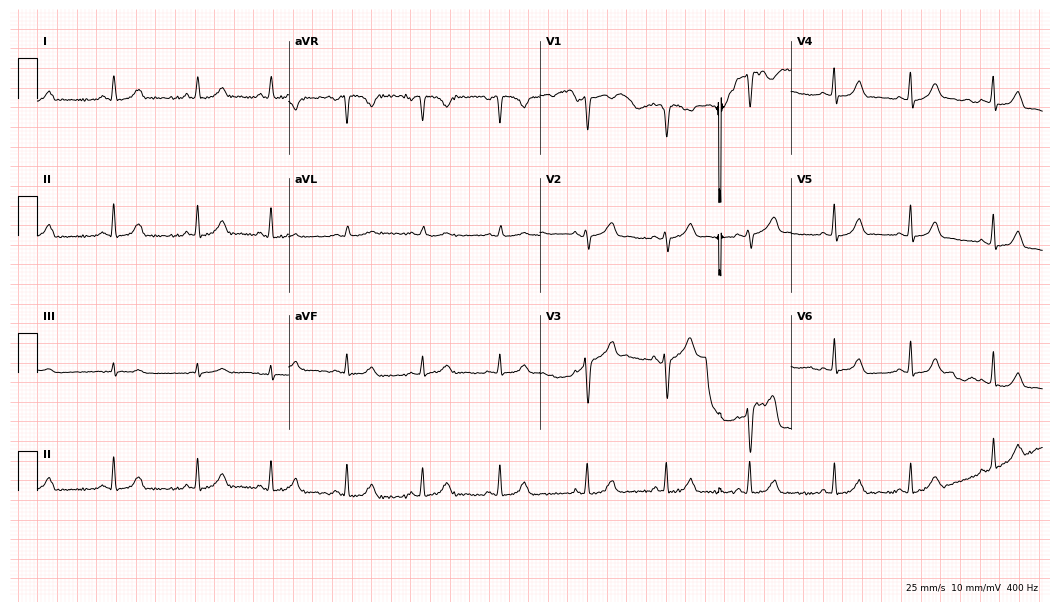
12-lead ECG from a 23-year-old female patient. Labelled as a normal ECG.